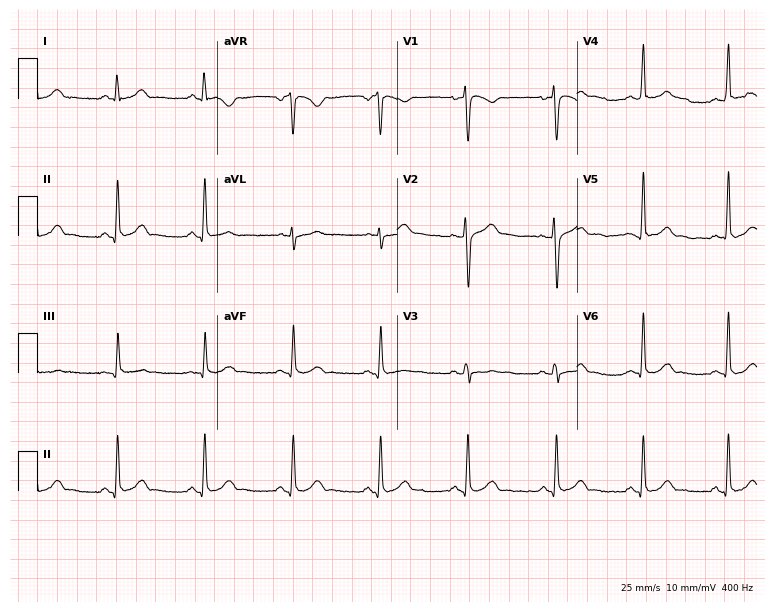
Resting 12-lead electrocardiogram. Patient: a male, 32 years old. Read as a normal ECG.